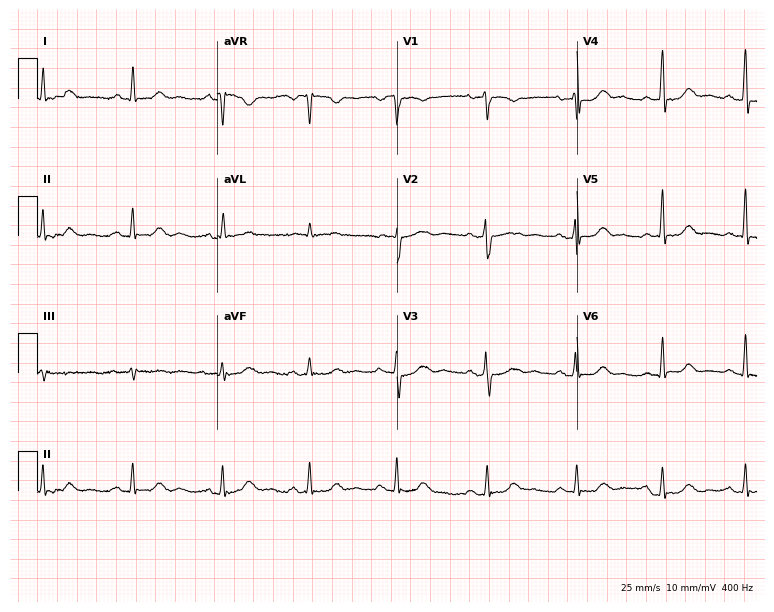
12-lead ECG (7.3-second recording at 400 Hz) from a 66-year-old female patient. Labelled as a normal ECG.